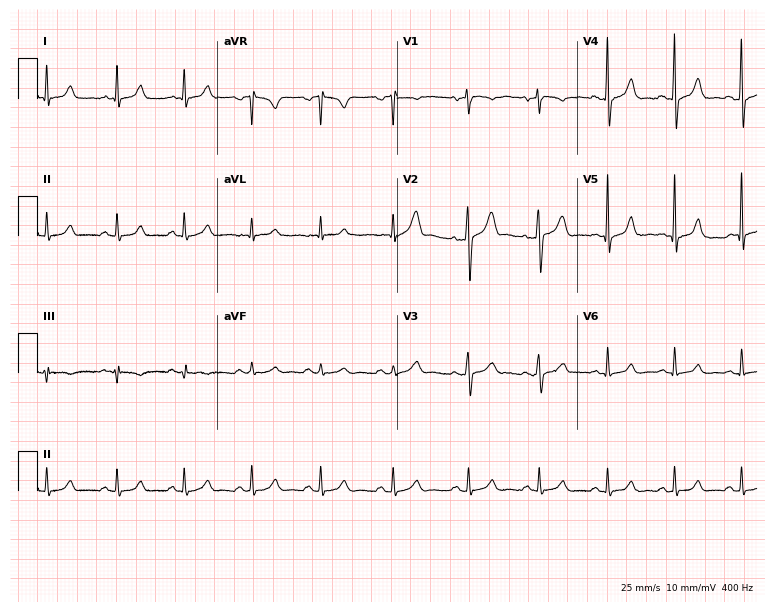
12-lead ECG (7.3-second recording at 400 Hz) from a 40-year-old man. Screened for six findings — first-degree AV block, right bundle branch block, left bundle branch block, sinus bradycardia, atrial fibrillation, sinus tachycardia — none is recorded. Findings outside these six are not listed.